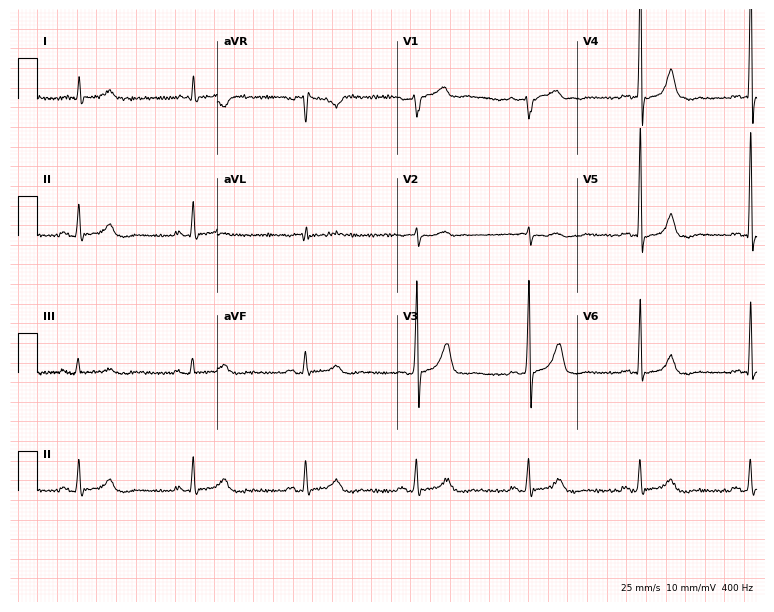
Standard 12-lead ECG recorded from a 56-year-old male patient. Read as a normal ECG.